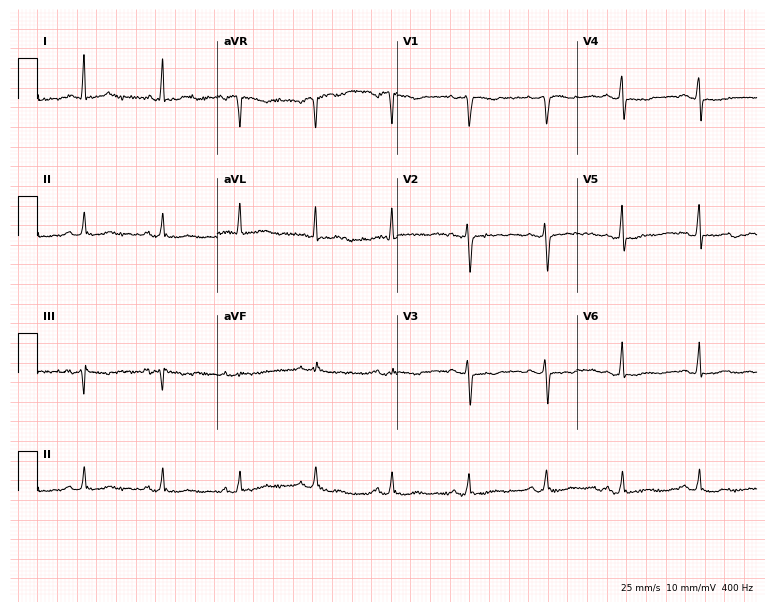
Resting 12-lead electrocardiogram (7.3-second recording at 400 Hz). Patient: a female, 43 years old. None of these six findings is recorded: first-degree AV block, right bundle branch block (RBBB), left bundle branch block (LBBB), sinus bradycardia, atrial fibrillation (AF), sinus tachycardia. Only these six findings were labelled.